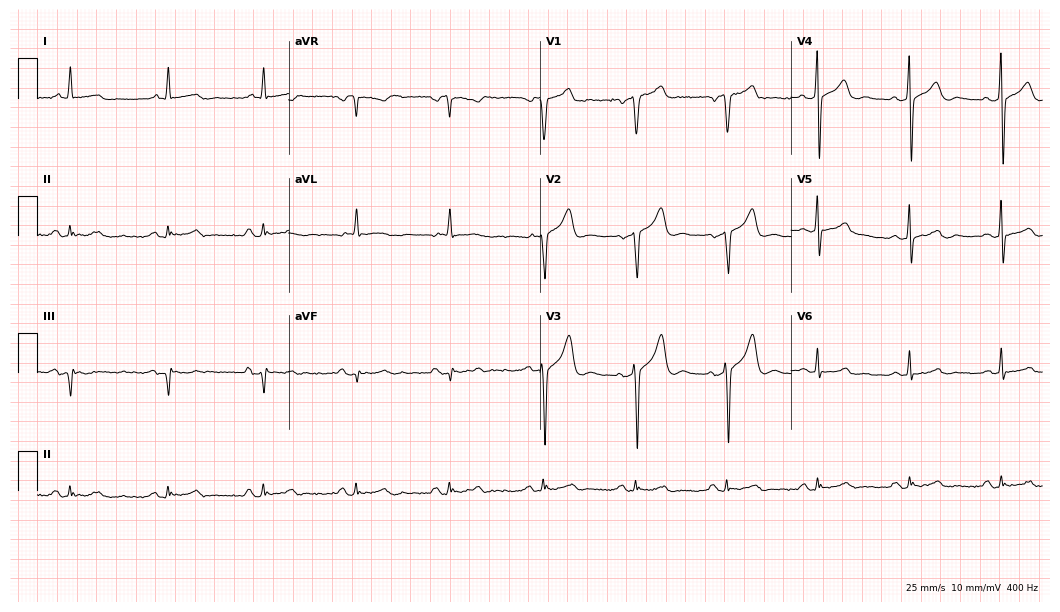
Electrocardiogram (10.2-second recording at 400 Hz), a male, 67 years old. Of the six screened findings (first-degree AV block, right bundle branch block, left bundle branch block, sinus bradycardia, atrial fibrillation, sinus tachycardia), none is recorded.